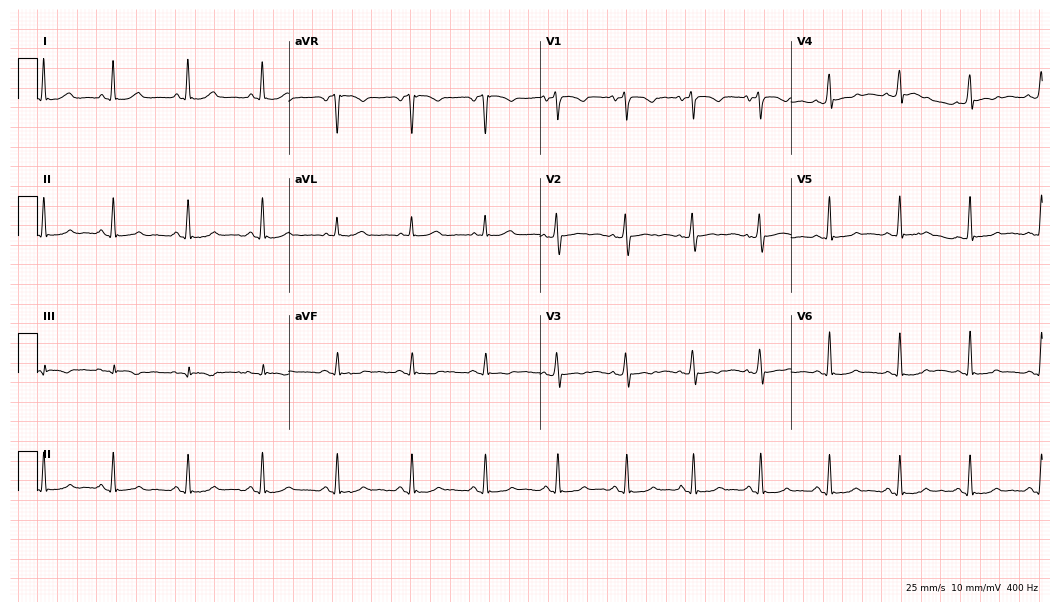
12-lead ECG from a female patient, 48 years old. Labelled as a normal ECG.